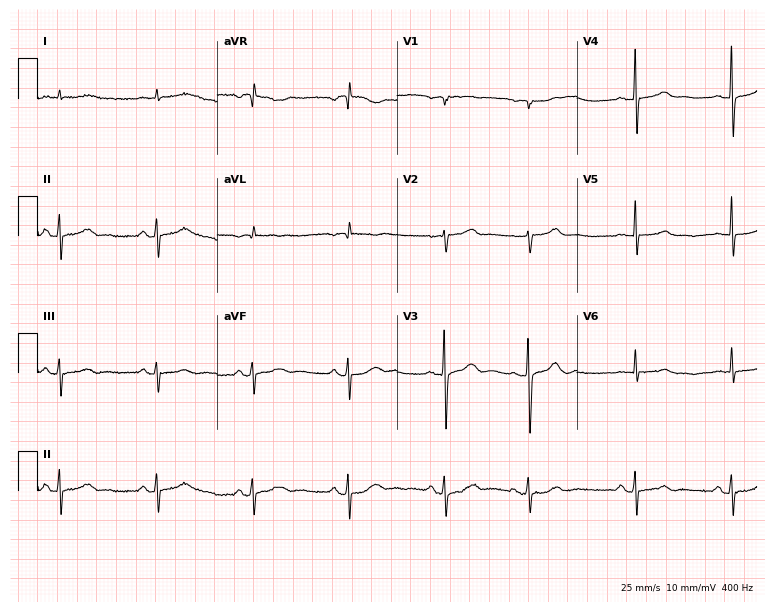
Electrocardiogram (7.3-second recording at 400 Hz), a male, 83 years old. Overall reading on record: normal ECG.